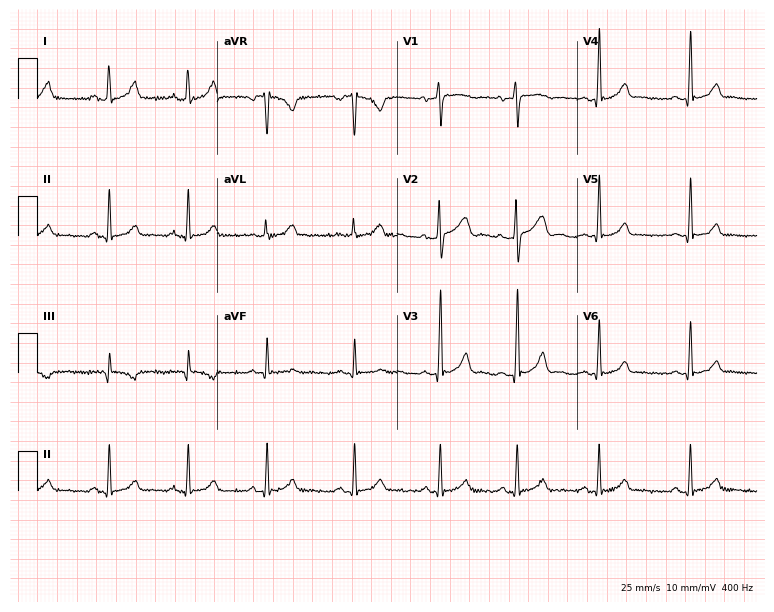
ECG (7.3-second recording at 400 Hz) — a female, 34 years old. Labelled as a normal ECG.